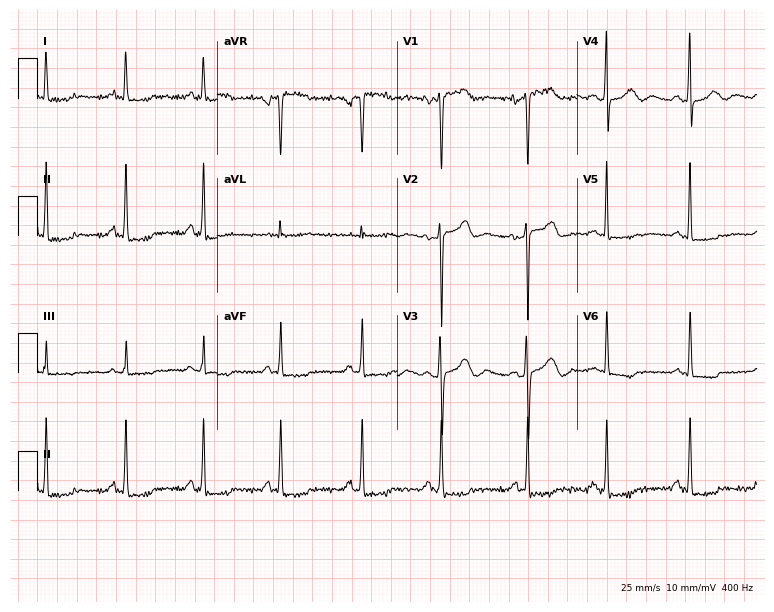
Resting 12-lead electrocardiogram. Patient: a 33-year-old female. None of these six findings is recorded: first-degree AV block, right bundle branch block, left bundle branch block, sinus bradycardia, atrial fibrillation, sinus tachycardia. Findings outside these six are not listed.